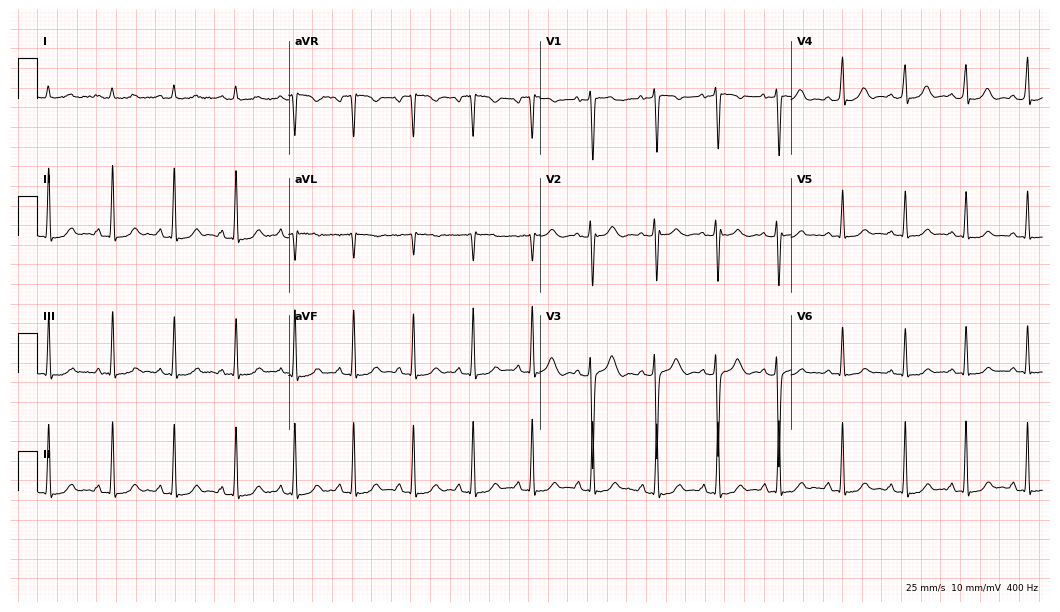
Standard 12-lead ECG recorded from a 17-year-old female patient. Read as a normal ECG.